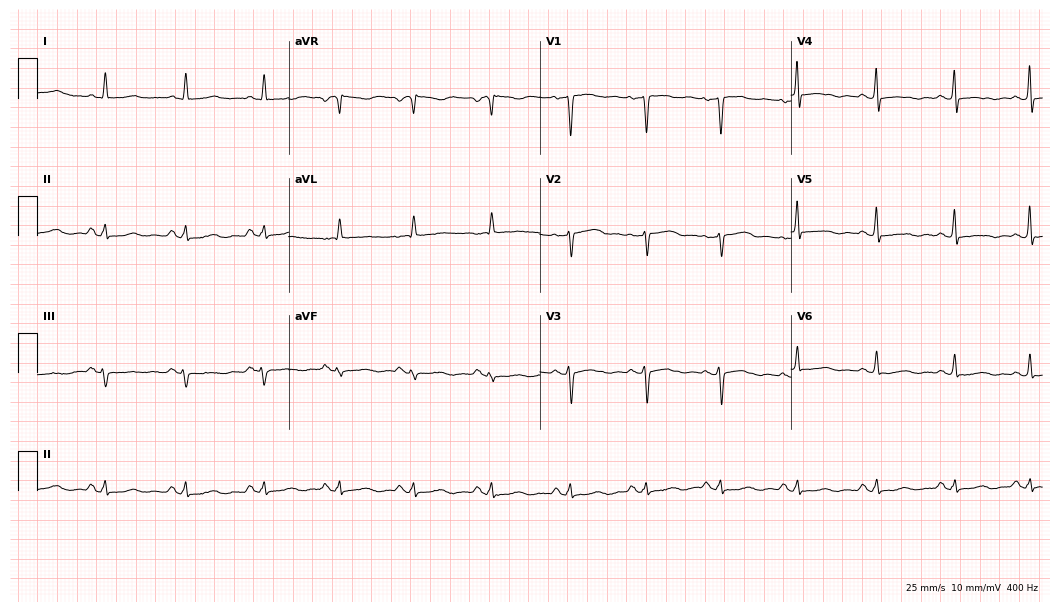
Standard 12-lead ECG recorded from a 53-year-old female (10.2-second recording at 400 Hz). Read as a normal ECG.